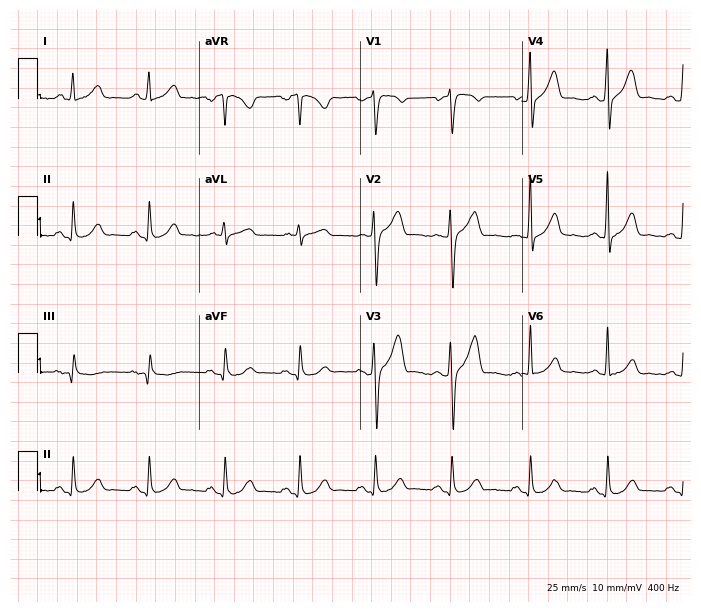
12-lead ECG from a 23-year-old man. No first-degree AV block, right bundle branch block, left bundle branch block, sinus bradycardia, atrial fibrillation or sinus tachycardia recorded for this tracing. Findings outside these six are not listed.